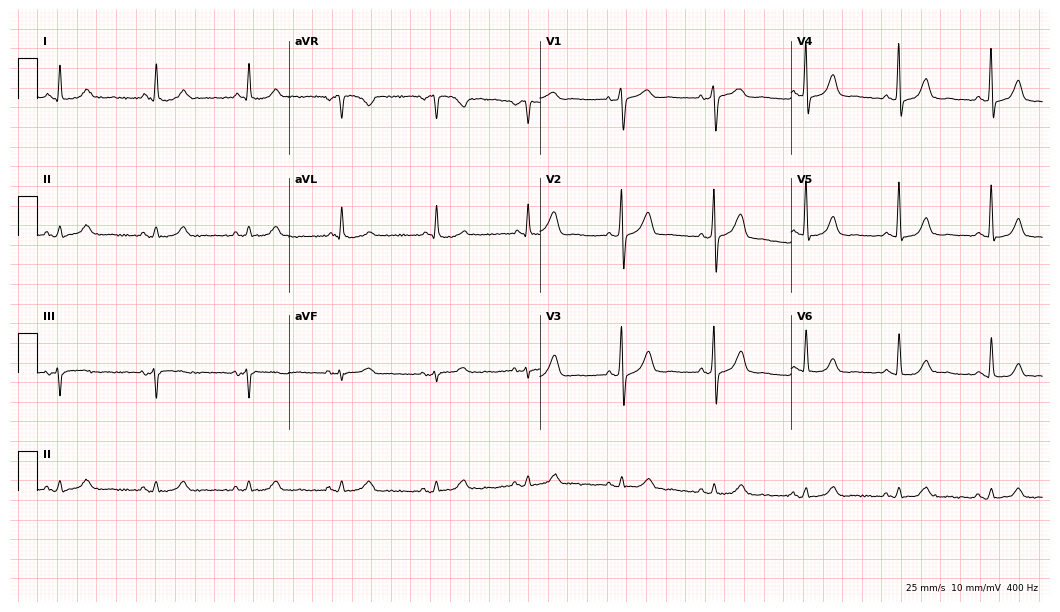
Electrocardiogram, a 66-year-old female patient. Overall reading on record: normal ECG.